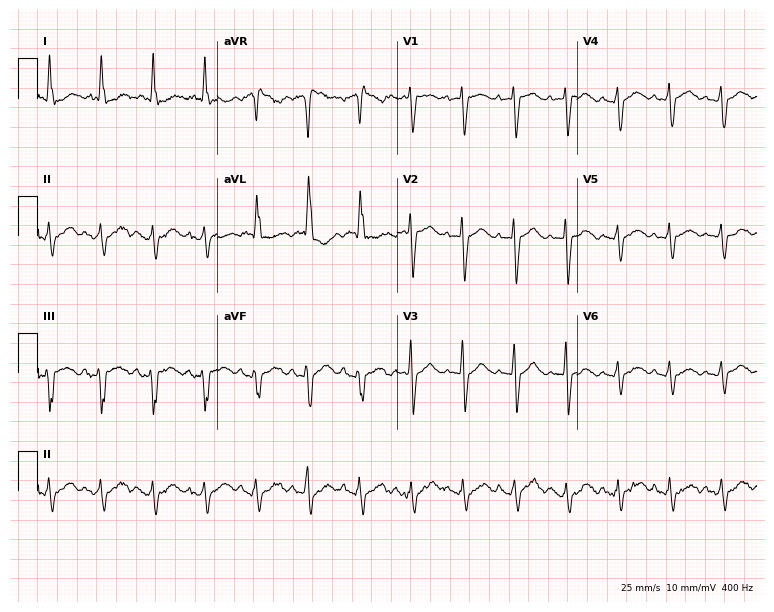
ECG (7.3-second recording at 400 Hz) — a female patient, 74 years old. Findings include sinus tachycardia (a sinus rate of 100 beats per minute or more).